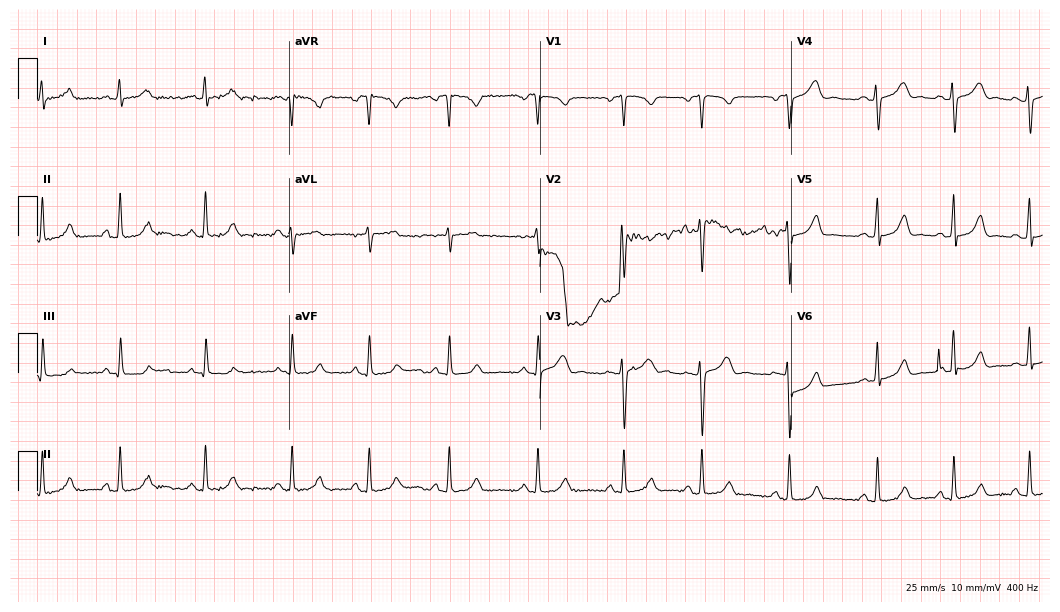
12-lead ECG from a female, 22 years old. Screened for six findings — first-degree AV block, right bundle branch block, left bundle branch block, sinus bradycardia, atrial fibrillation, sinus tachycardia — none is recorded. Findings outside these six are not listed.